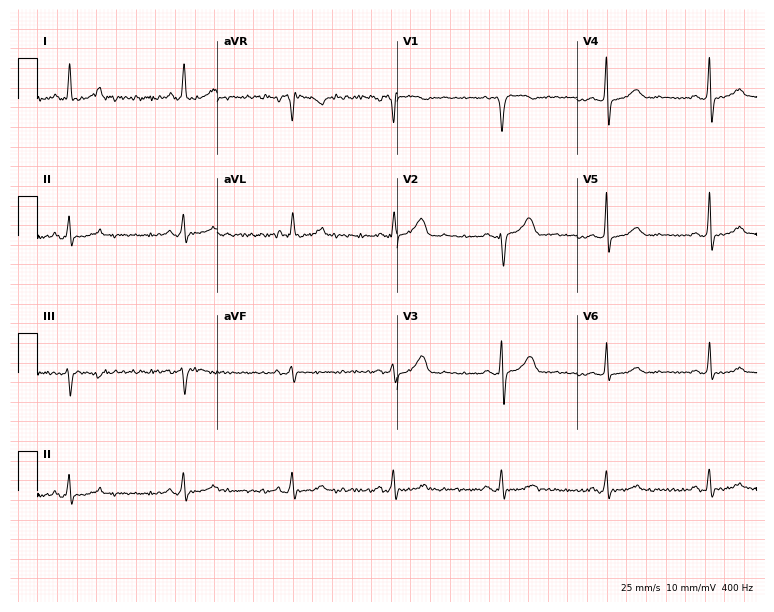
ECG (7.3-second recording at 400 Hz) — a female patient, 46 years old. Screened for six findings — first-degree AV block, right bundle branch block (RBBB), left bundle branch block (LBBB), sinus bradycardia, atrial fibrillation (AF), sinus tachycardia — none is recorded.